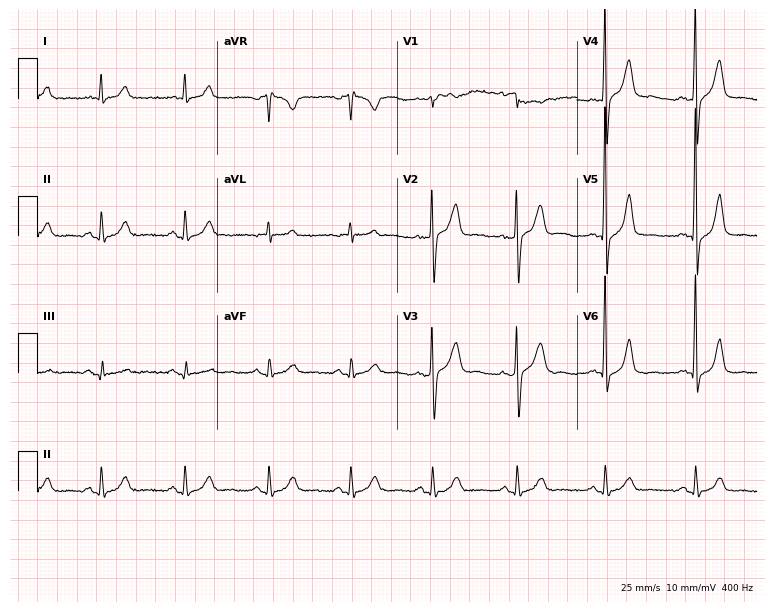
ECG — a man, 60 years old. Labelled as a normal ECG.